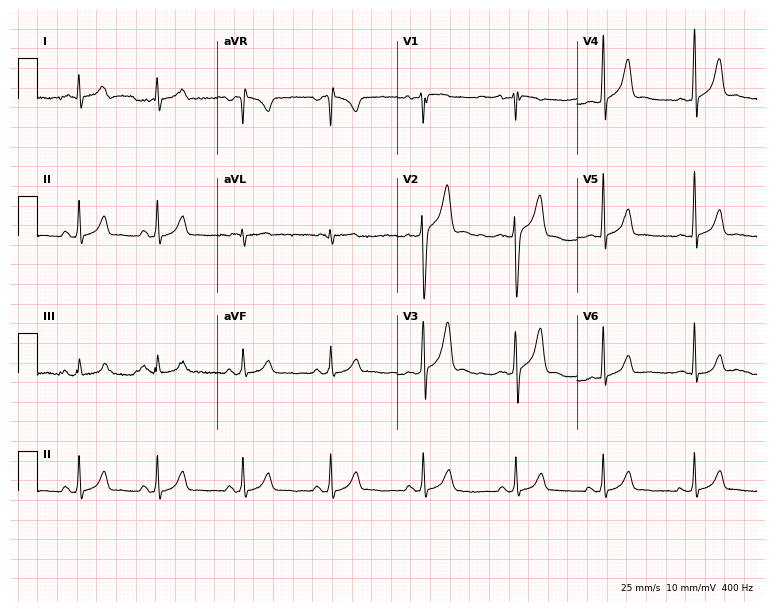
ECG — a man, 34 years old. Screened for six findings — first-degree AV block, right bundle branch block (RBBB), left bundle branch block (LBBB), sinus bradycardia, atrial fibrillation (AF), sinus tachycardia — none is recorded.